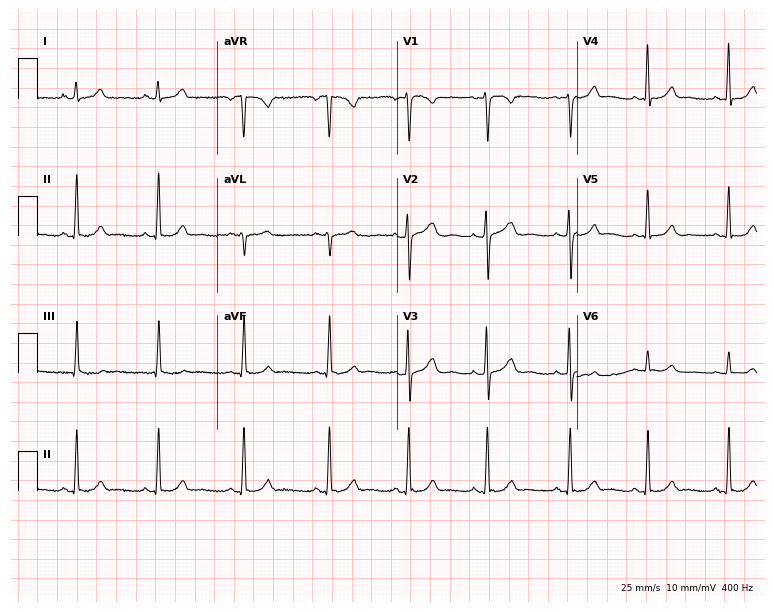
ECG — a female patient, 25 years old. Labelled as a normal ECG.